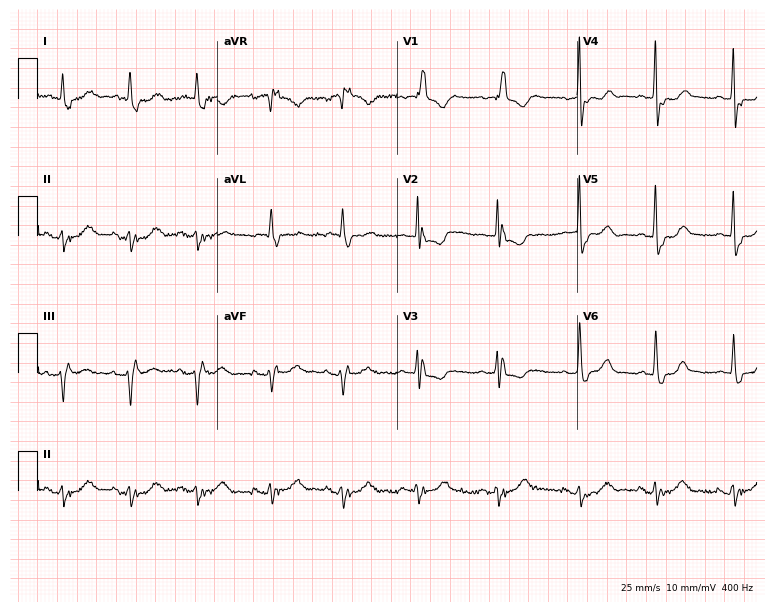
Electrocardiogram (7.3-second recording at 400 Hz), a female, 85 years old. Interpretation includes right bundle branch block (RBBB).